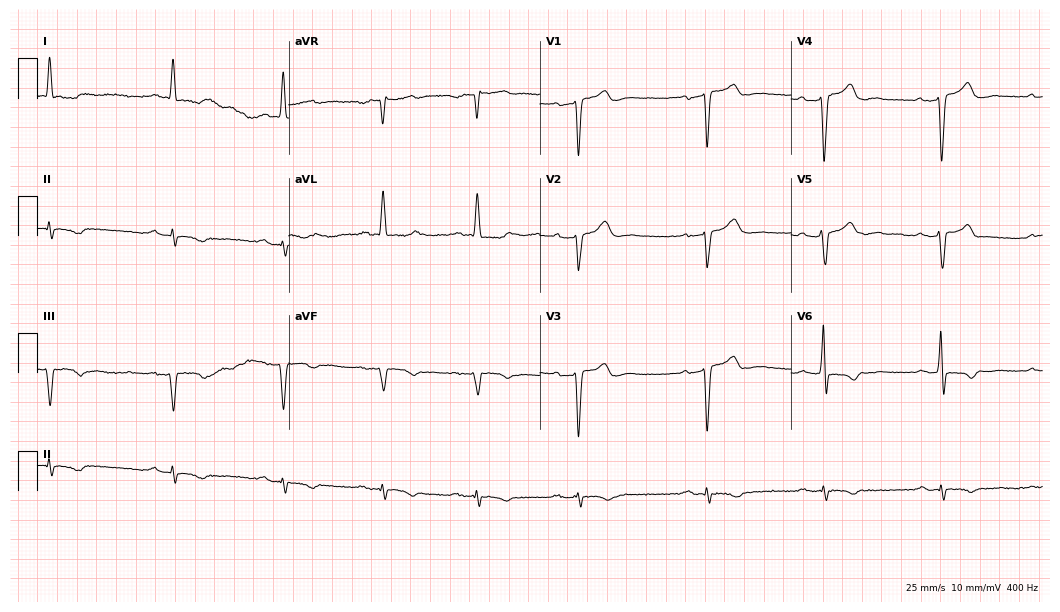
Standard 12-lead ECG recorded from a 75-year-old male (10.2-second recording at 400 Hz). The tracing shows first-degree AV block.